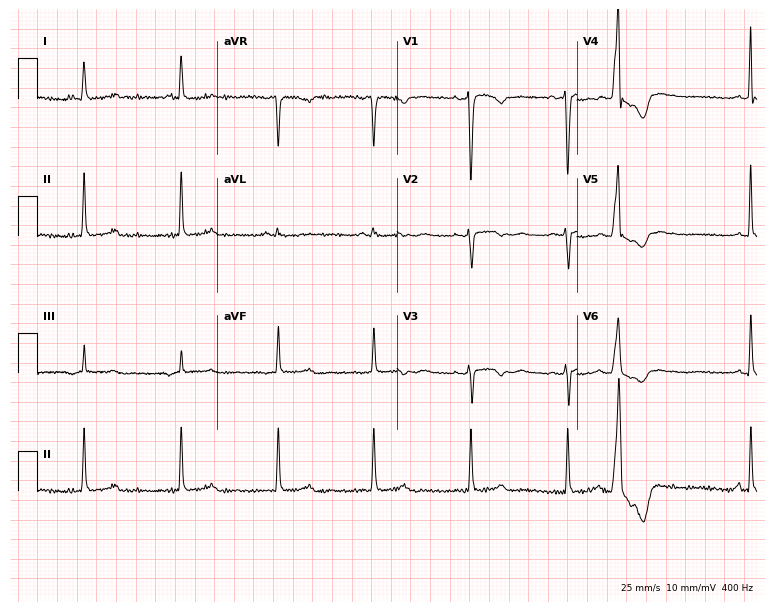
ECG — a 47-year-old female. Screened for six findings — first-degree AV block, right bundle branch block, left bundle branch block, sinus bradycardia, atrial fibrillation, sinus tachycardia — none is recorded. Findings outside these six are not listed.